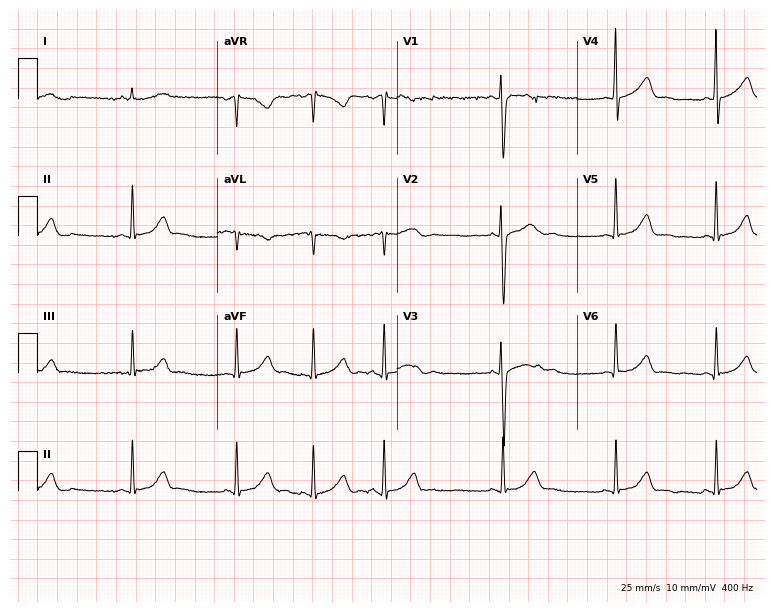
12-lead ECG from a 19-year-old female patient (7.3-second recording at 400 Hz). No first-degree AV block, right bundle branch block, left bundle branch block, sinus bradycardia, atrial fibrillation or sinus tachycardia recorded for this tracing. Findings outside these six are not listed.